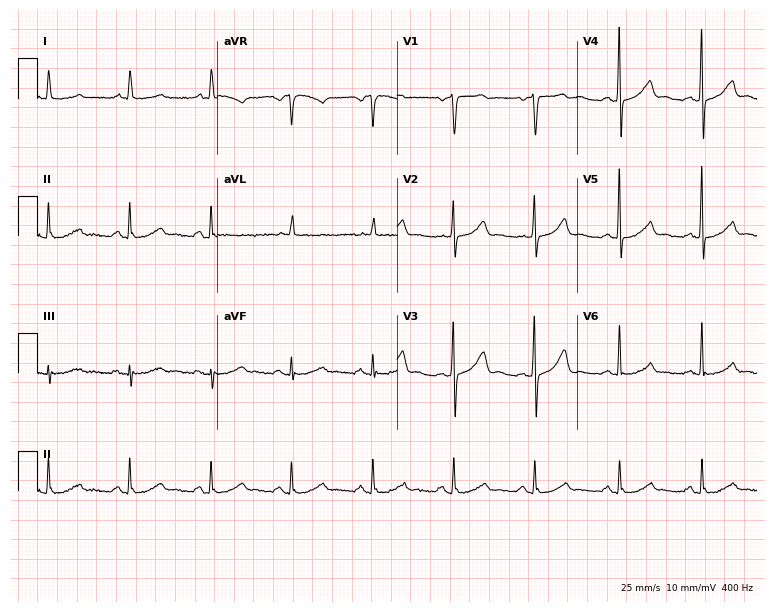
ECG — a woman, 57 years old. Labelled as a normal ECG.